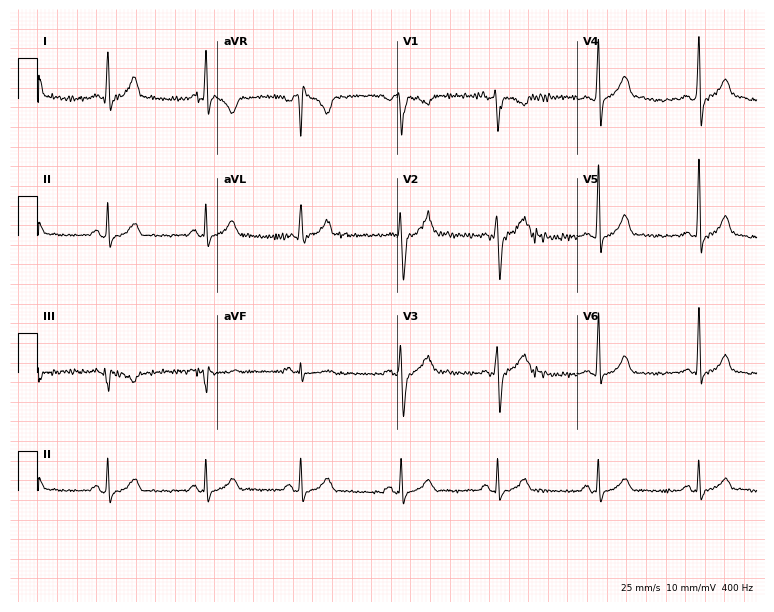
12-lead ECG from a 27-year-old male patient. Labelled as a normal ECG.